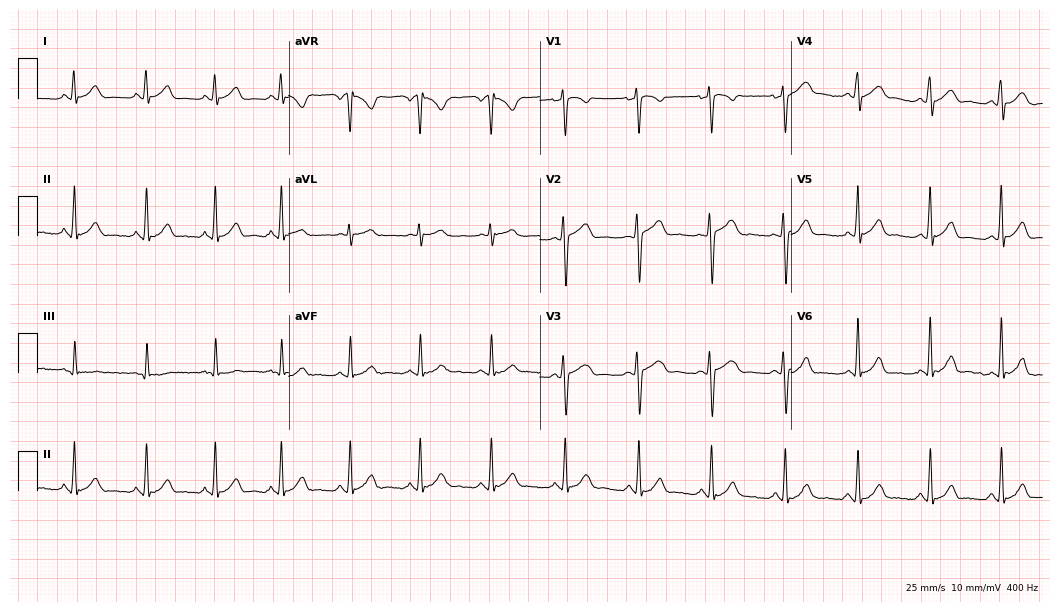
Standard 12-lead ECG recorded from a female patient, 31 years old (10.2-second recording at 400 Hz). Read as a normal ECG.